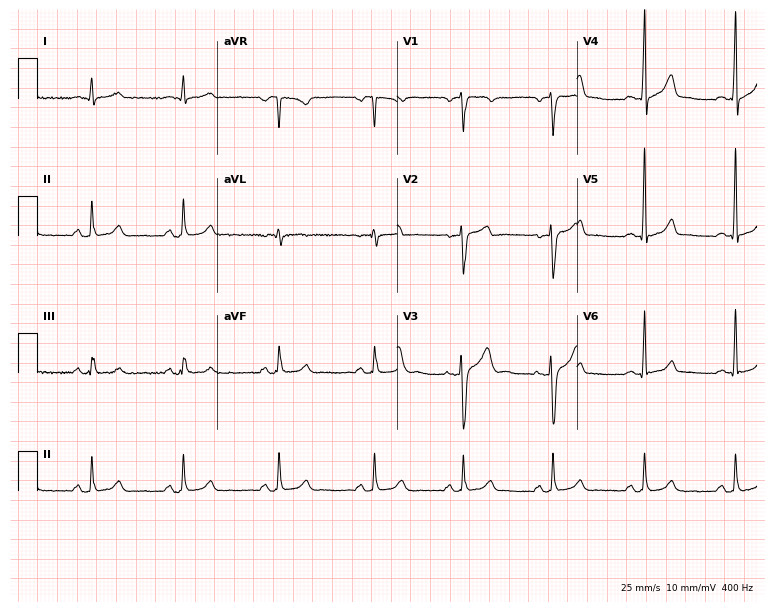
12-lead ECG from a 41-year-old man. Labelled as a normal ECG.